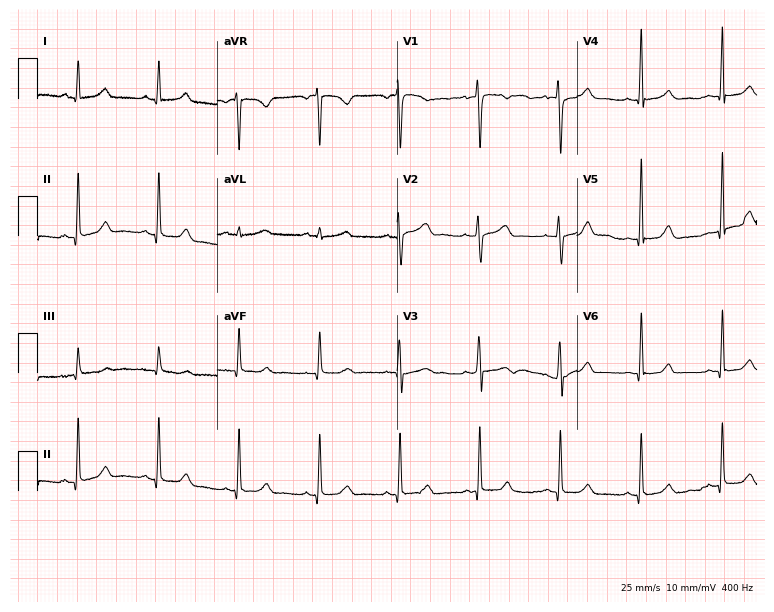
Standard 12-lead ECG recorded from a woman, 42 years old. Read as a normal ECG.